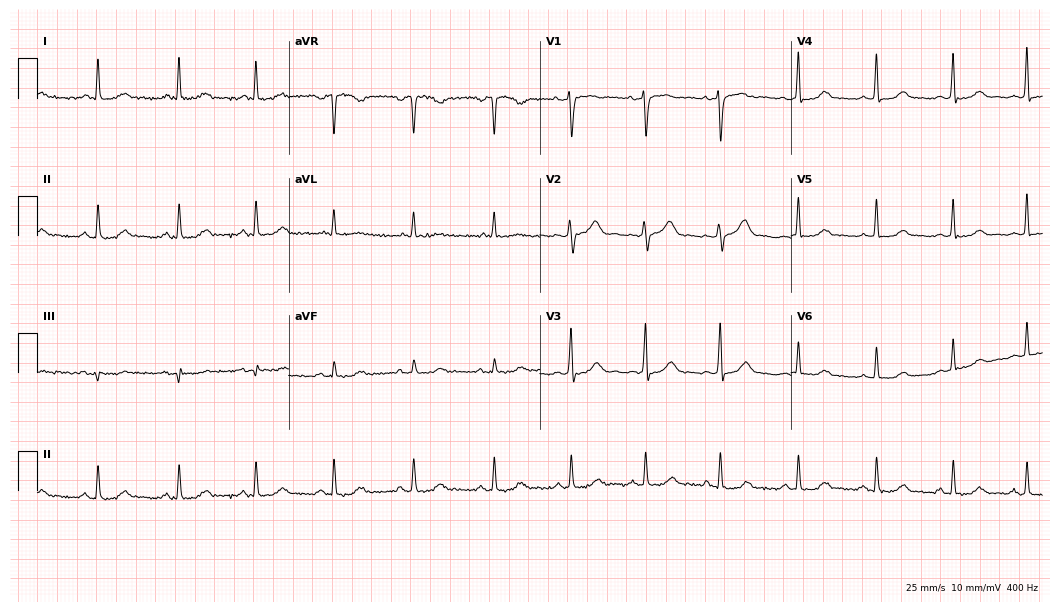
Electrocardiogram, a woman, 48 years old. Overall reading on record: normal ECG.